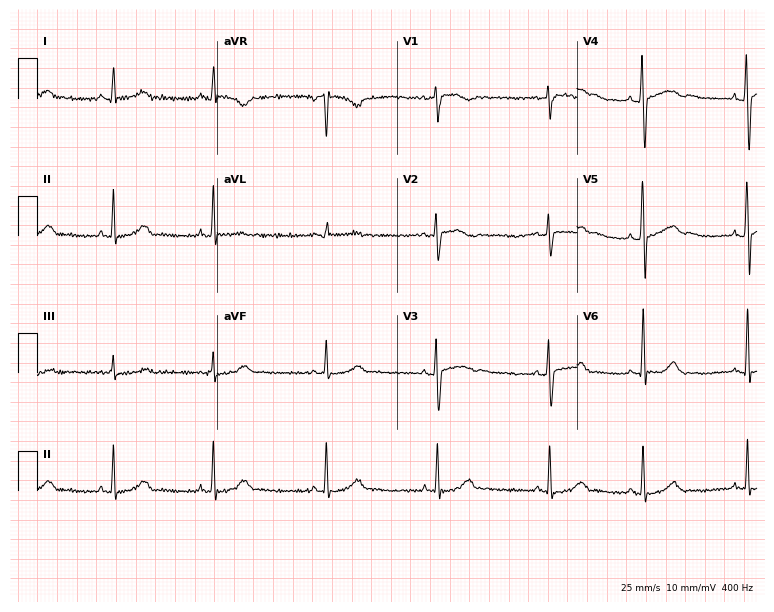
Standard 12-lead ECG recorded from a female, 33 years old (7.3-second recording at 400 Hz). Read as a normal ECG.